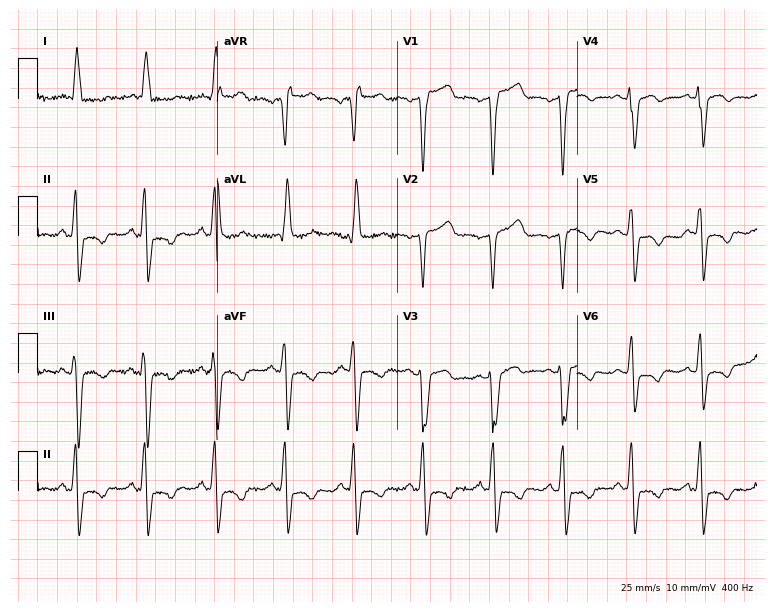
Standard 12-lead ECG recorded from a 60-year-old female. The tracing shows left bundle branch block.